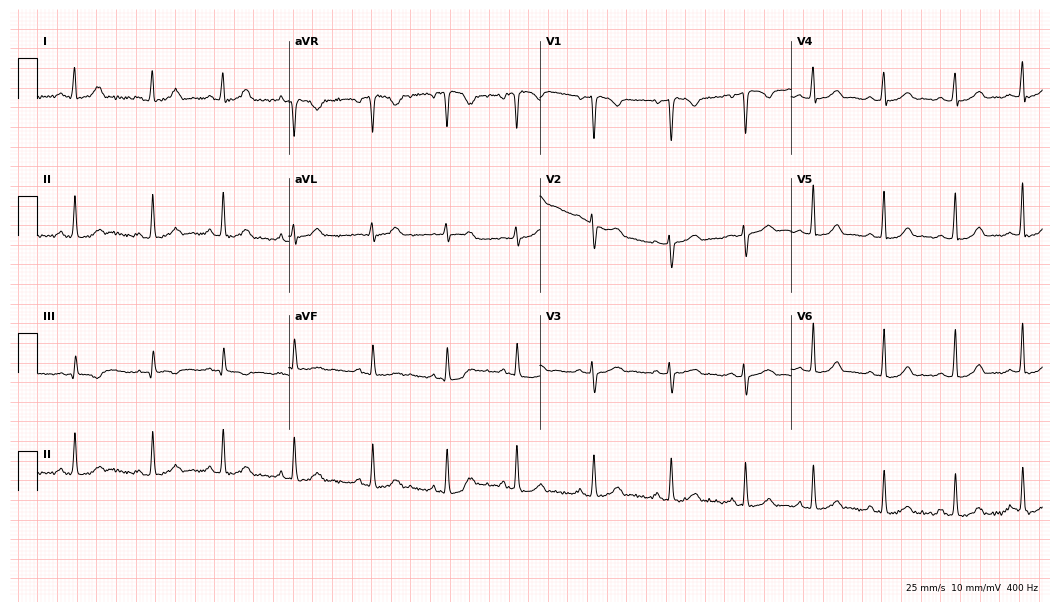
ECG — a 26-year-old woman. Labelled as a normal ECG.